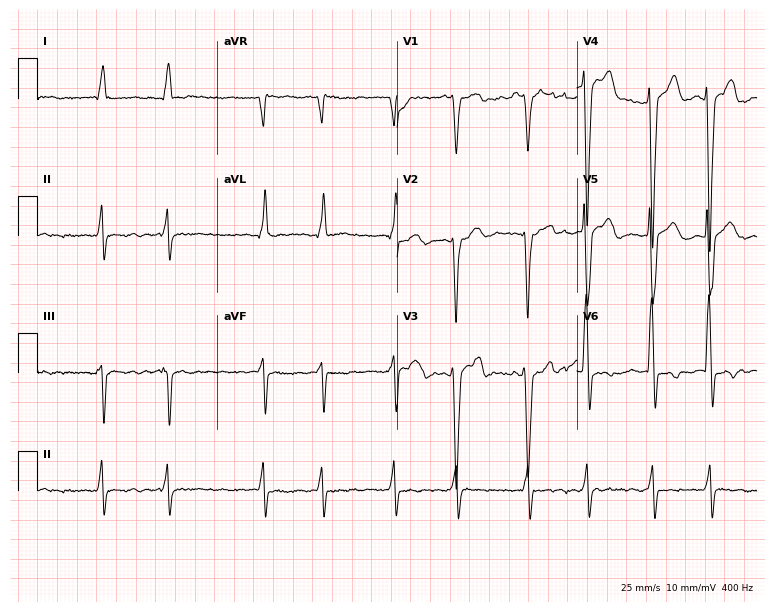
12-lead ECG from a man, 73 years old. Shows atrial fibrillation.